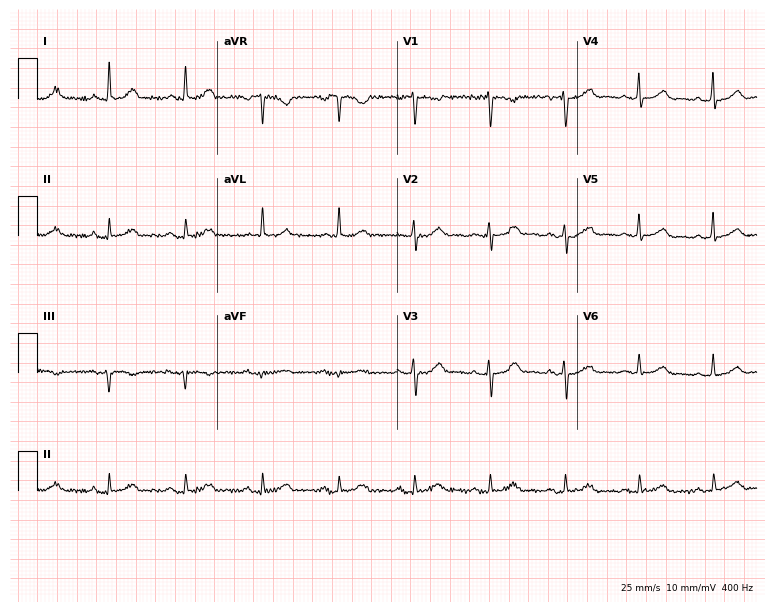
Electrocardiogram (7.3-second recording at 400 Hz), a 63-year-old female. Overall reading on record: normal ECG.